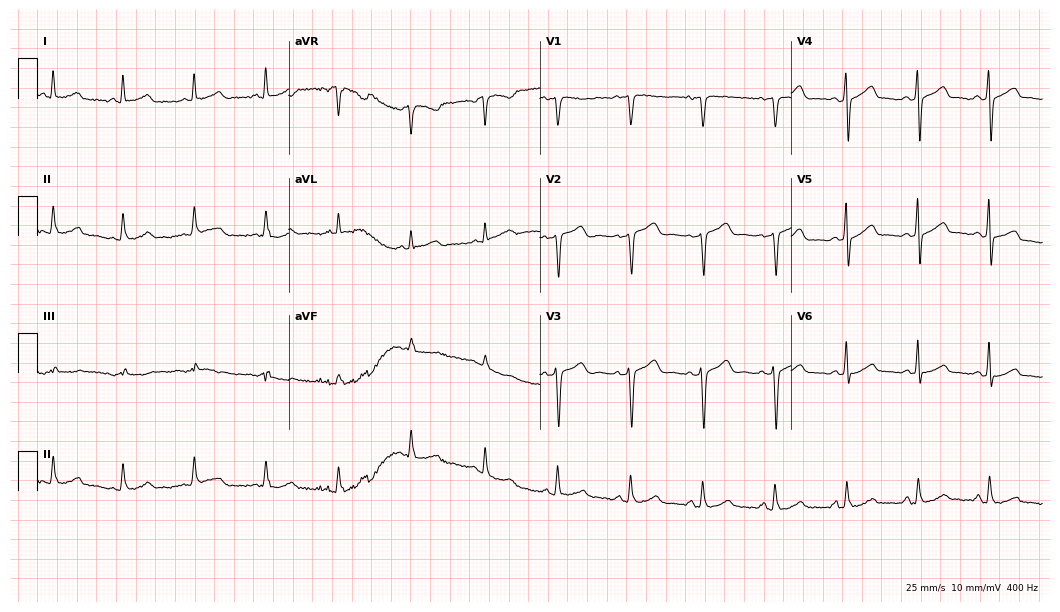
ECG — a female, 44 years old. Labelled as a normal ECG.